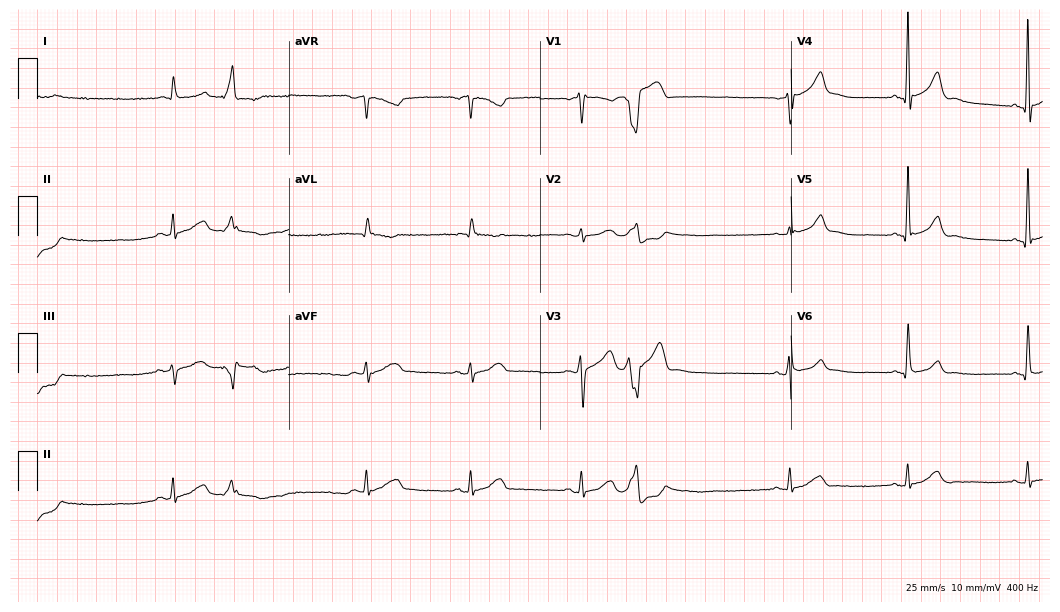
Standard 12-lead ECG recorded from a 64-year-old male. The tracing shows sinus bradycardia (a sinus rate of 50 beats per minute or less).